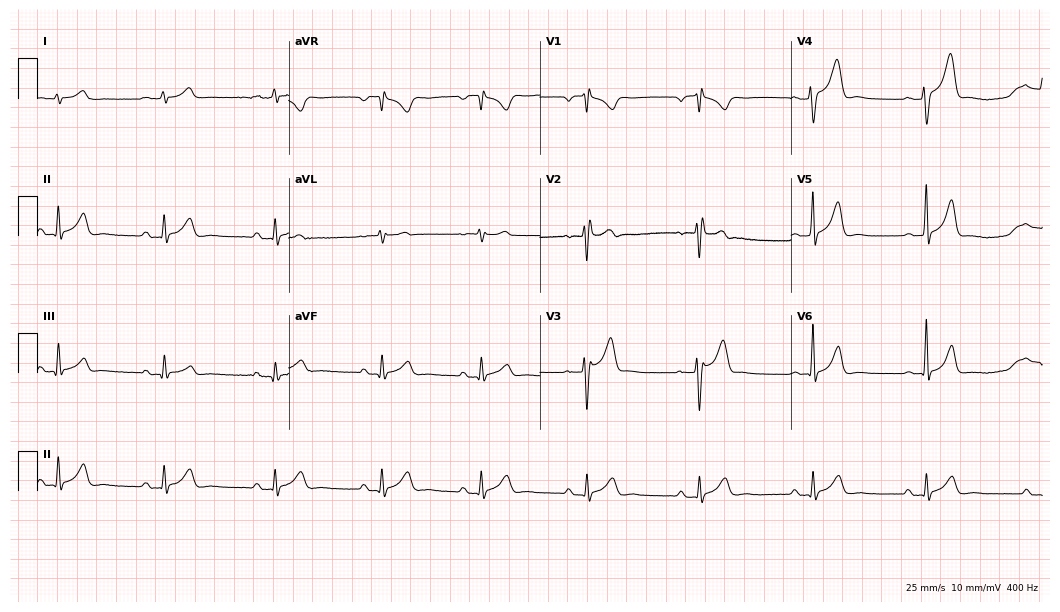
12-lead ECG from a 27-year-old male. Labelled as a normal ECG.